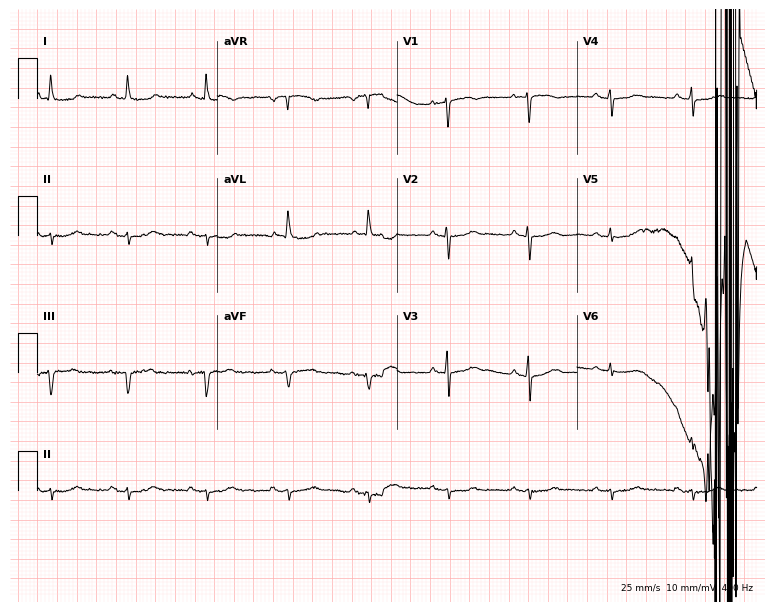
Resting 12-lead electrocardiogram. Patient: a woman, 76 years old. None of these six findings is recorded: first-degree AV block, right bundle branch block, left bundle branch block, sinus bradycardia, atrial fibrillation, sinus tachycardia. Other findings, if any, are not listed.